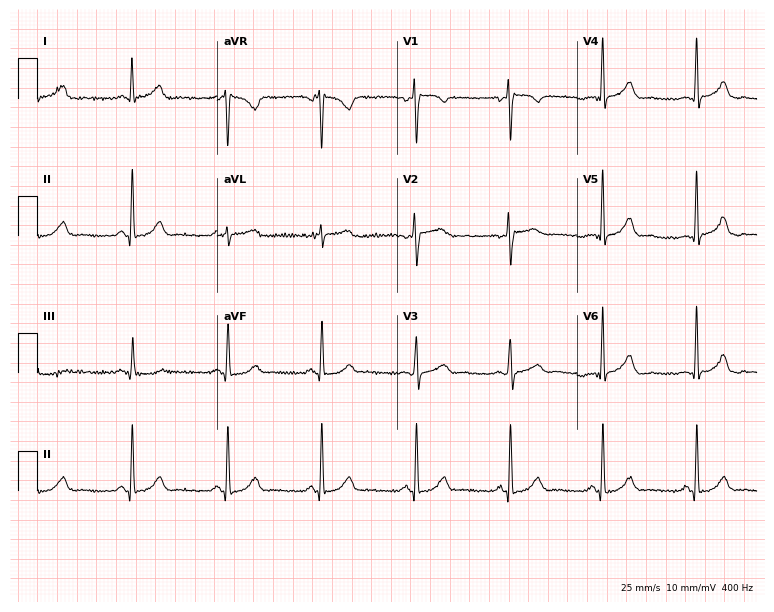
12-lead ECG from a woman, 49 years old. Labelled as a normal ECG.